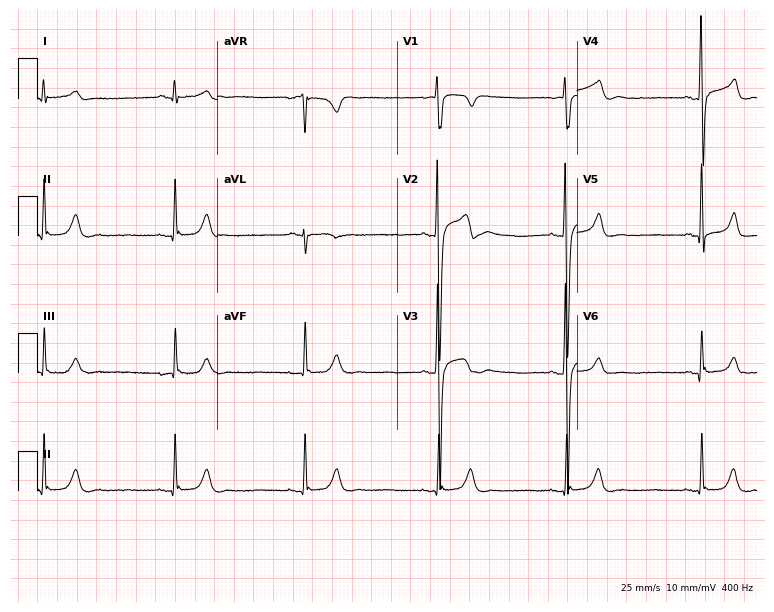
Electrocardiogram, a man, 37 years old. Interpretation includes sinus bradycardia (a sinus rate of 50 beats per minute or less).